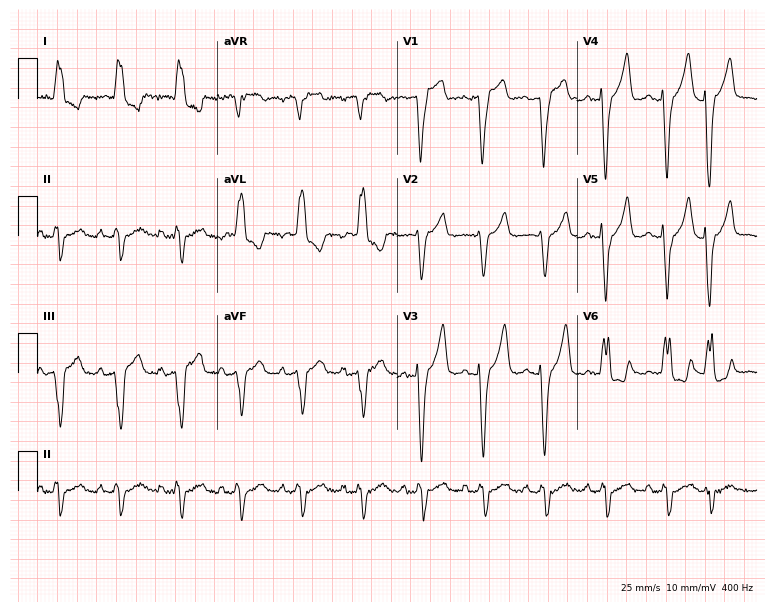
Standard 12-lead ECG recorded from a male patient, 69 years old. The tracing shows left bundle branch block.